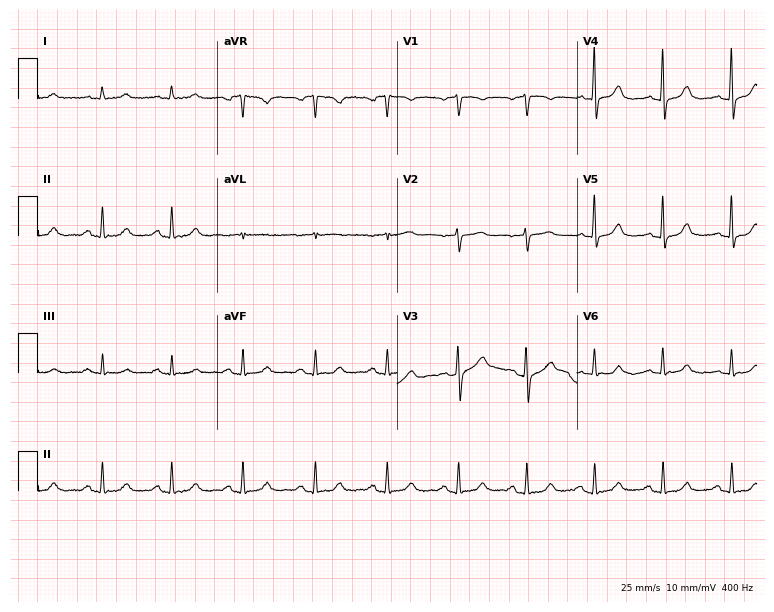
12-lead ECG from a female patient, 43 years old (7.3-second recording at 400 Hz). Recorded interpretation: within normal limits.